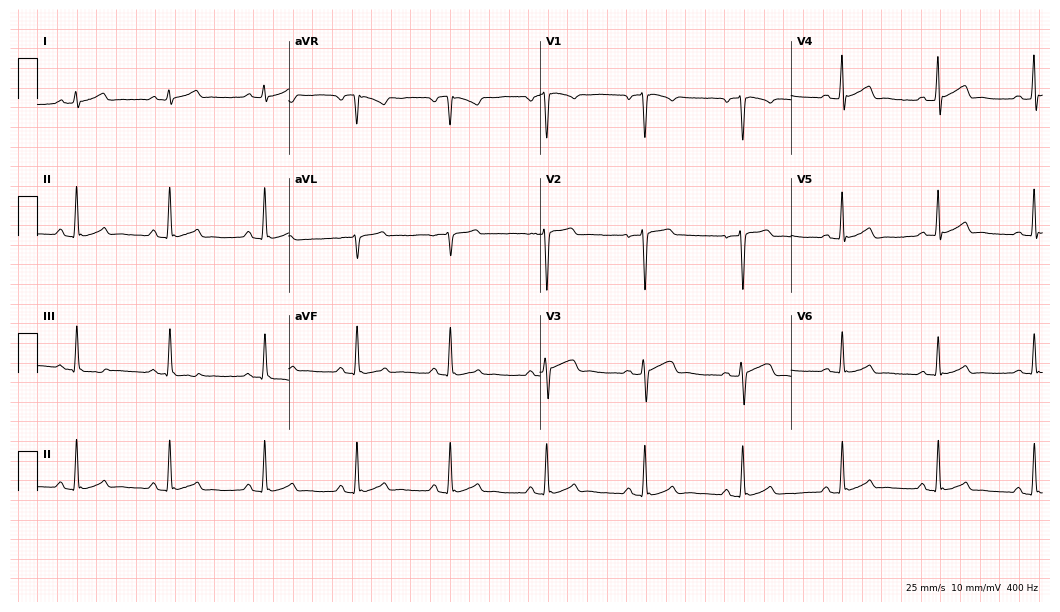
12-lead ECG from a 35-year-old male patient. Recorded interpretation: within normal limits.